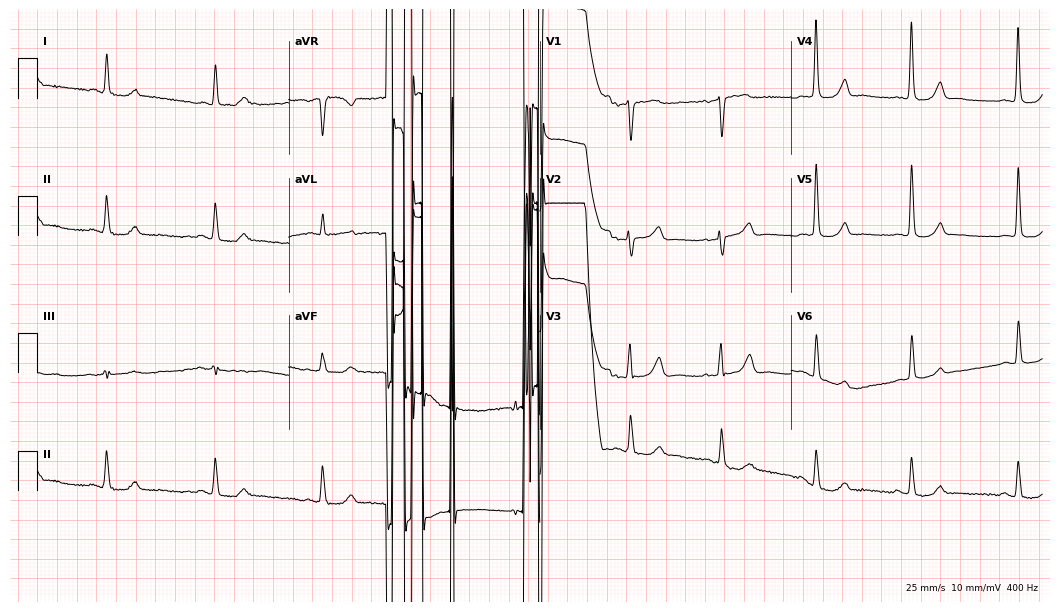
12-lead ECG (10.2-second recording at 400 Hz) from a 73-year-old woman. Screened for six findings — first-degree AV block, right bundle branch block (RBBB), left bundle branch block (LBBB), sinus bradycardia, atrial fibrillation (AF), sinus tachycardia — none is recorded. Only these six findings were labelled.